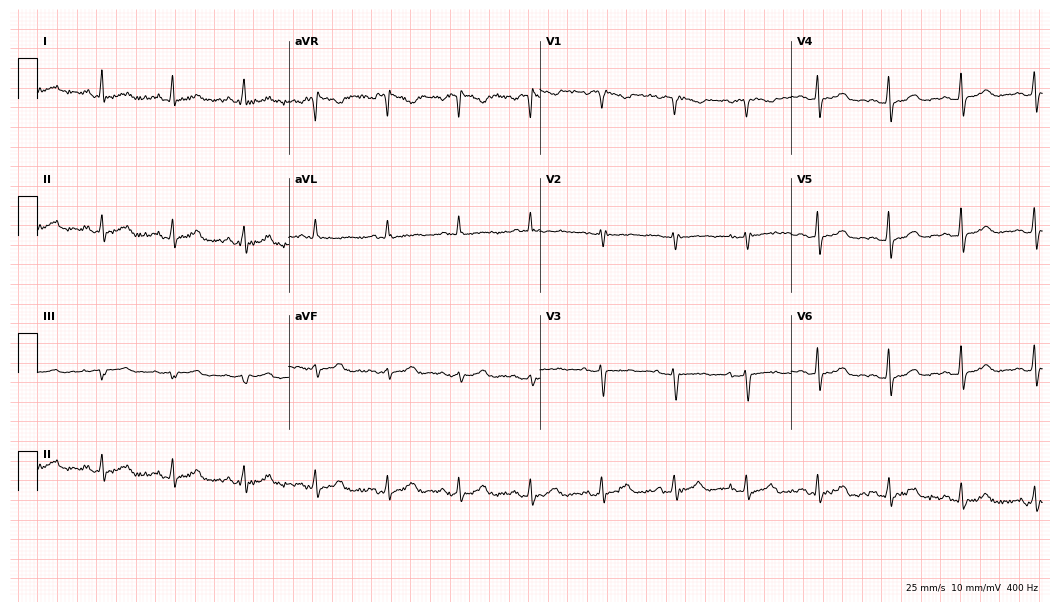
ECG (10.2-second recording at 400 Hz) — a female patient, 60 years old. Labelled as a normal ECG.